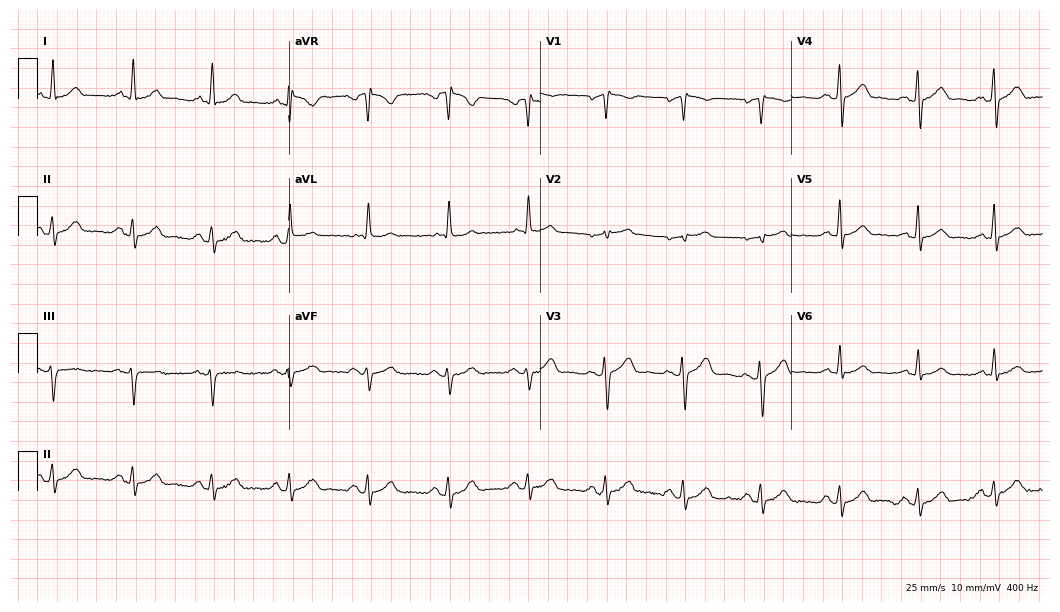
Resting 12-lead electrocardiogram (10.2-second recording at 400 Hz). Patient: a man, 72 years old. Read as a normal ECG.